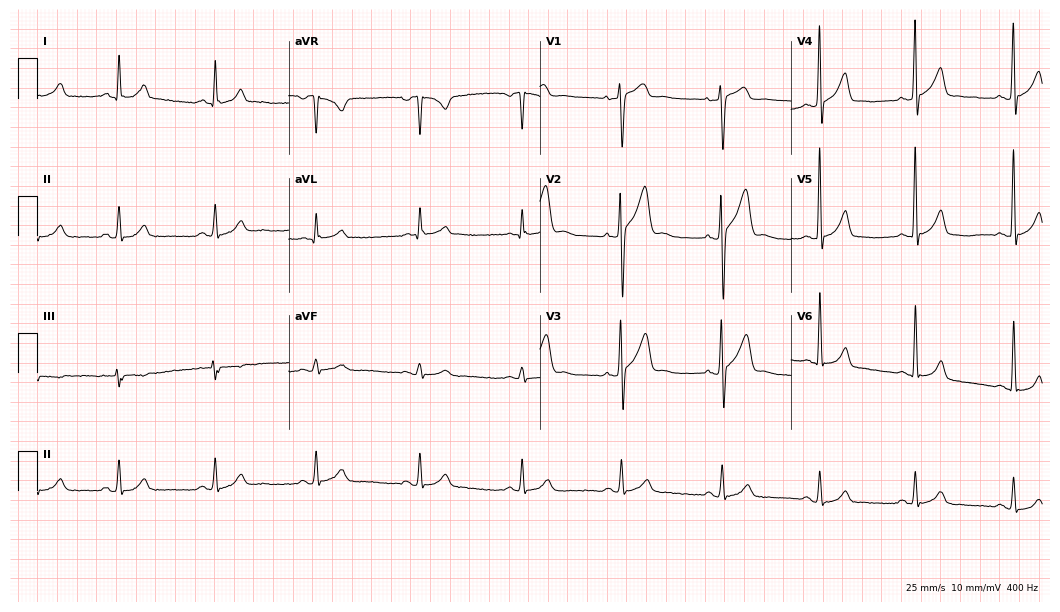
12-lead ECG (10.2-second recording at 400 Hz) from a 35-year-old man. Screened for six findings — first-degree AV block, right bundle branch block, left bundle branch block, sinus bradycardia, atrial fibrillation, sinus tachycardia — none is recorded. Only these six findings were labelled.